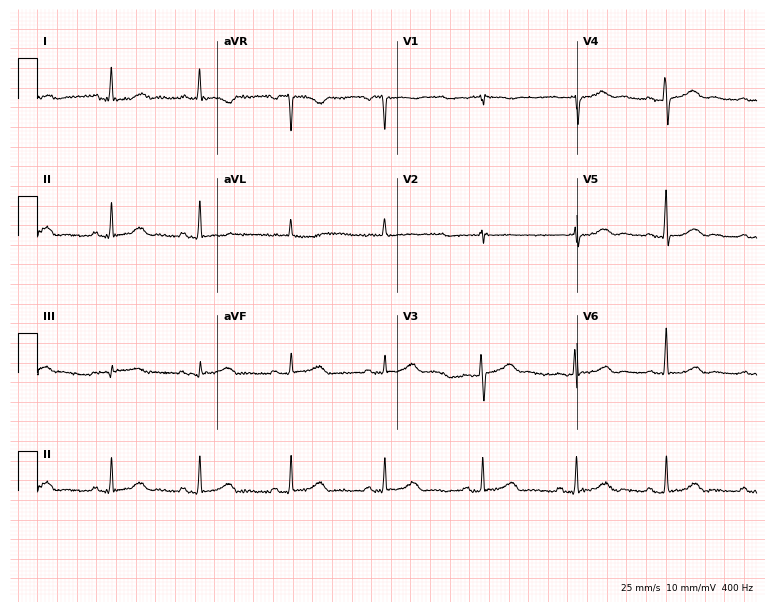
Standard 12-lead ECG recorded from a 55-year-old woman (7.3-second recording at 400 Hz). Read as a normal ECG.